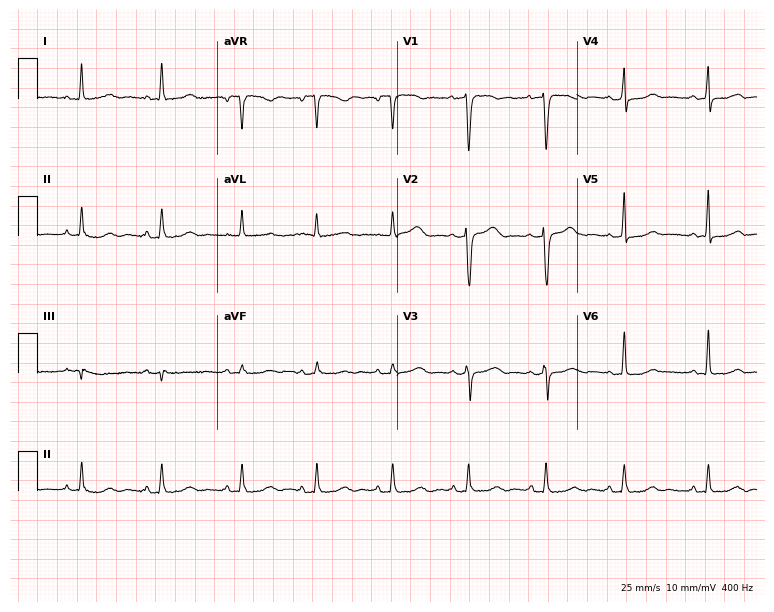
12-lead ECG from a woman, 44 years old. No first-degree AV block, right bundle branch block, left bundle branch block, sinus bradycardia, atrial fibrillation or sinus tachycardia recorded for this tracing.